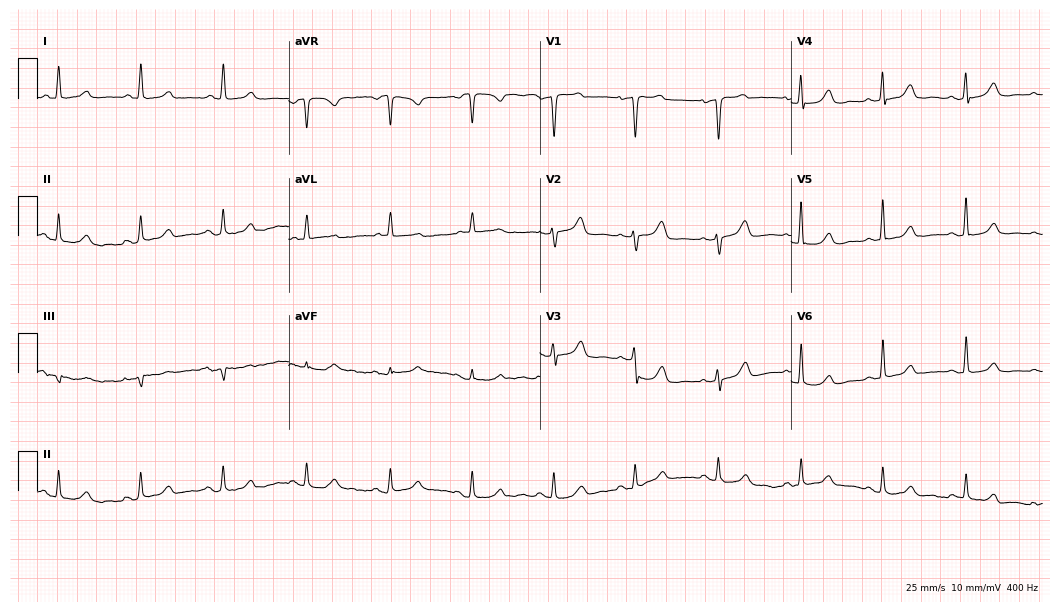
Resting 12-lead electrocardiogram (10.2-second recording at 400 Hz). Patient: a 64-year-old woman. None of these six findings is recorded: first-degree AV block, right bundle branch block (RBBB), left bundle branch block (LBBB), sinus bradycardia, atrial fibrillation (AF), sinus tachycardia. Only these six findings were labelled.